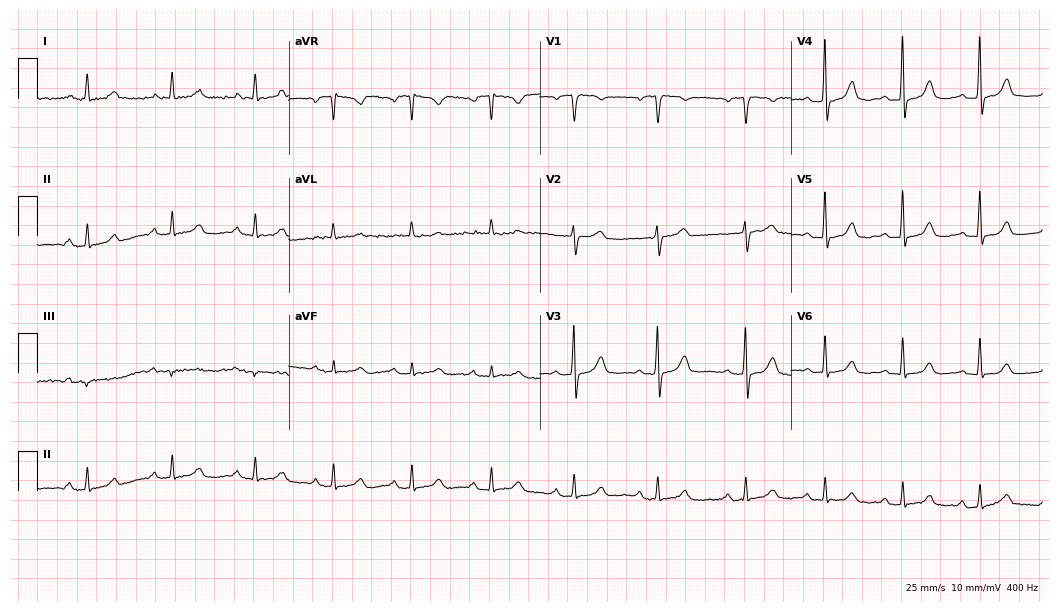
Standard 12-lead ECG recorded from a woman, 57 years old (10.2-second recording at 400 Hz). None of these six findings is recorded: first-degree AV block, right bundle branch block, left bundle branch block, sinus bradycardia, atrial fibrillation, sinus tachycardia. Only these six findings were labelled.